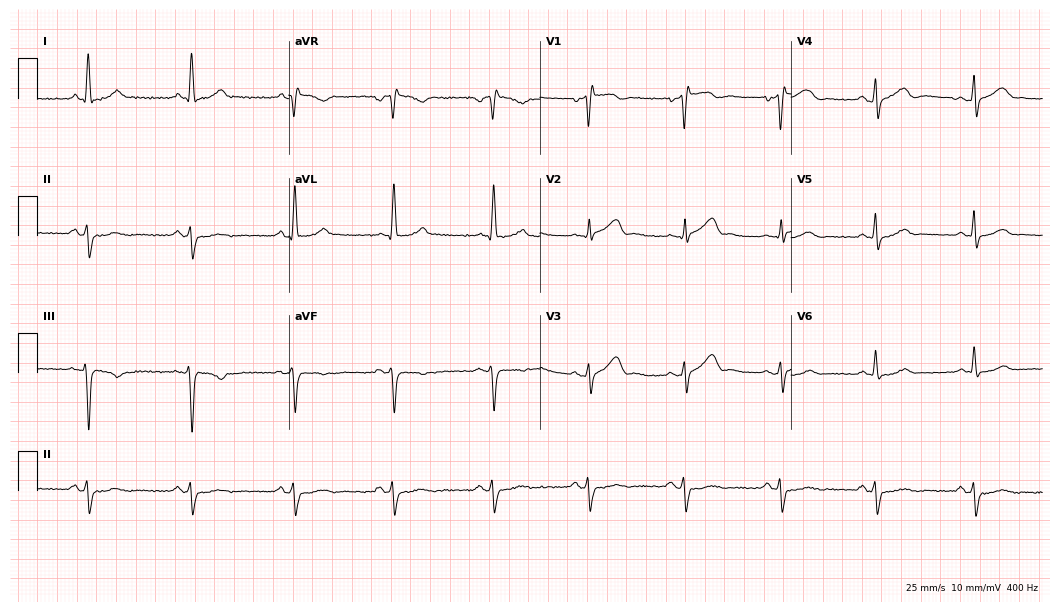
12-lead ECG (10.2-second recording at 400 Hz) from a man, 64 years old. Screened for six findings — first-degree AV block, right bundle branch block, left bundle branch block, sinus bradycardia, atrial fibrillation, sinus tachycardia — none is recorded.